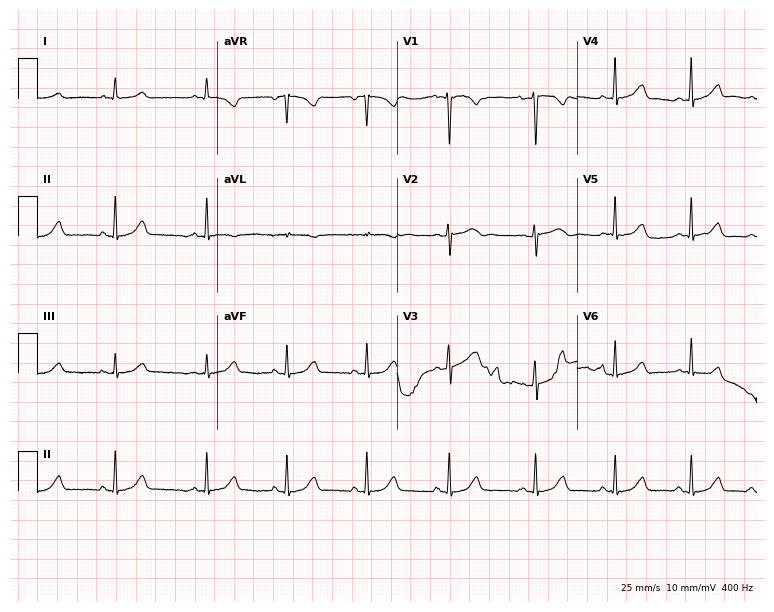
Resting 12-lead electrocardiogram (7.3-second recording at 400 Hz). Patient: a female, 30 years old. None of these six findings is recorded: first-degree AV block, right bundle branch block, left bundle branch block, sinus bradycardia, atrial fibrillation, sinus tachycardia.